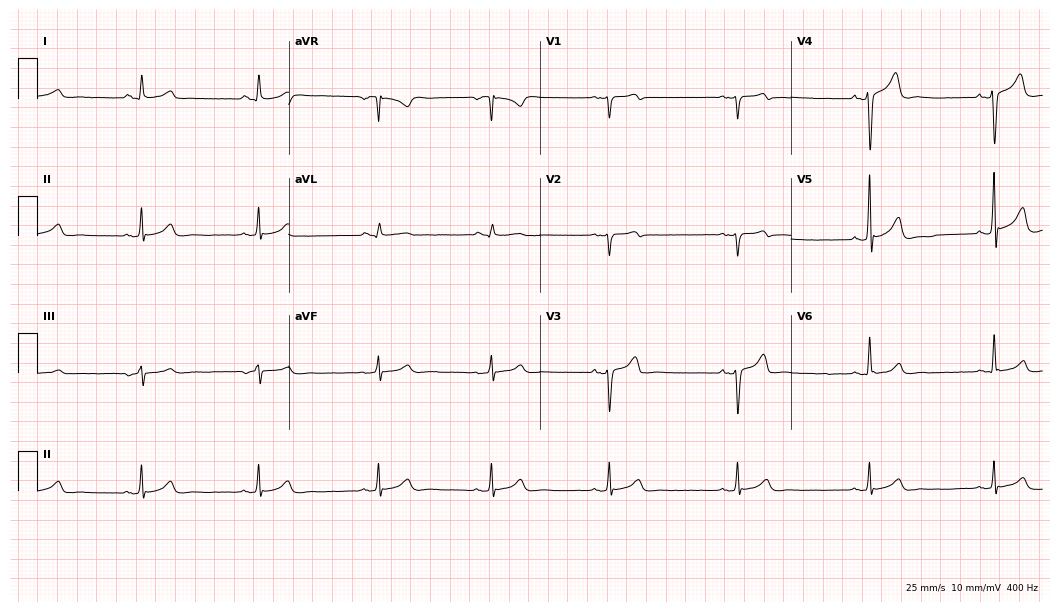
Resting 12-lead electrocardiogram. Patient: a male, 37 years old. Read as a normal ECG.